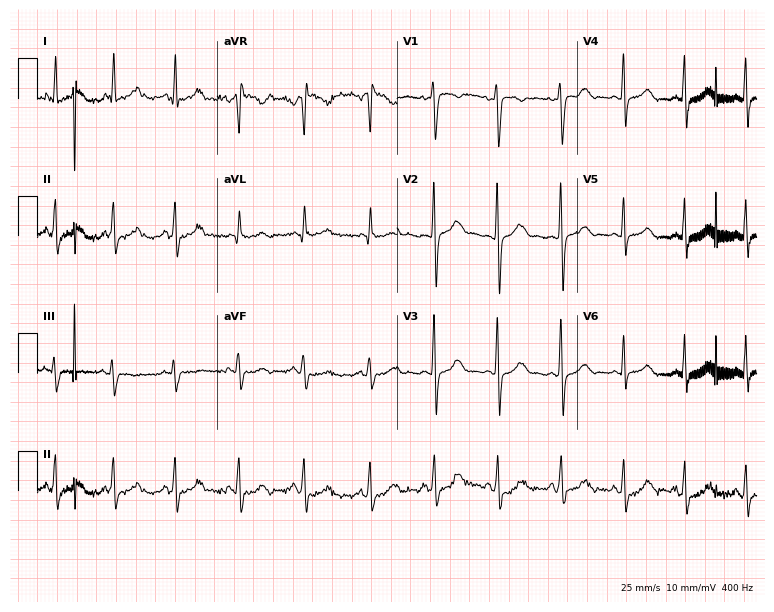
Electrocardiogram, a 33-year-old female patient. Of the six screened findings (first-degree AV block, right bundle branch block, left bundle branch block, sinus bradycardia, atrial fibrillation, sinus tachycardia), none is recorded. Only these six findings were labelled.